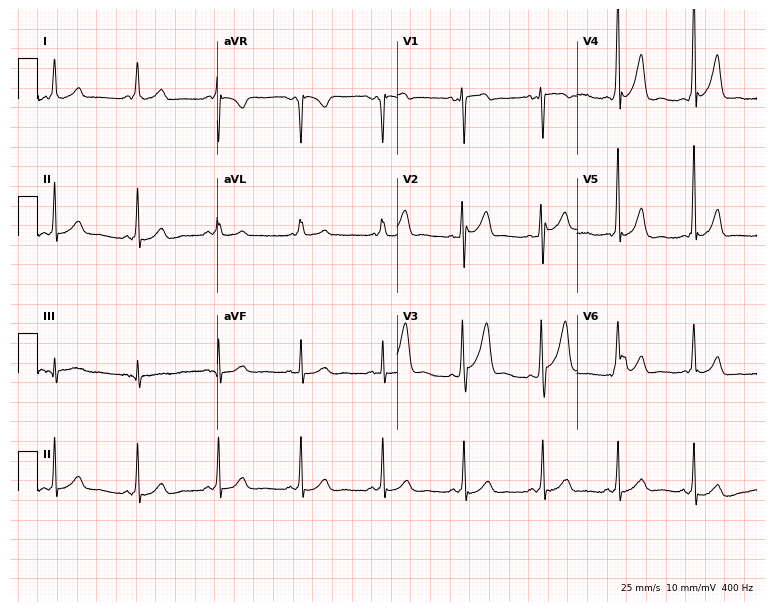
ECG — a male, 30 years old. Screened for six findings — first-degree AV block, right bundle branch block, left bundle branch block, sinus bradycardia, atrial fibrillation, sinus tachycardia — none is recorded.